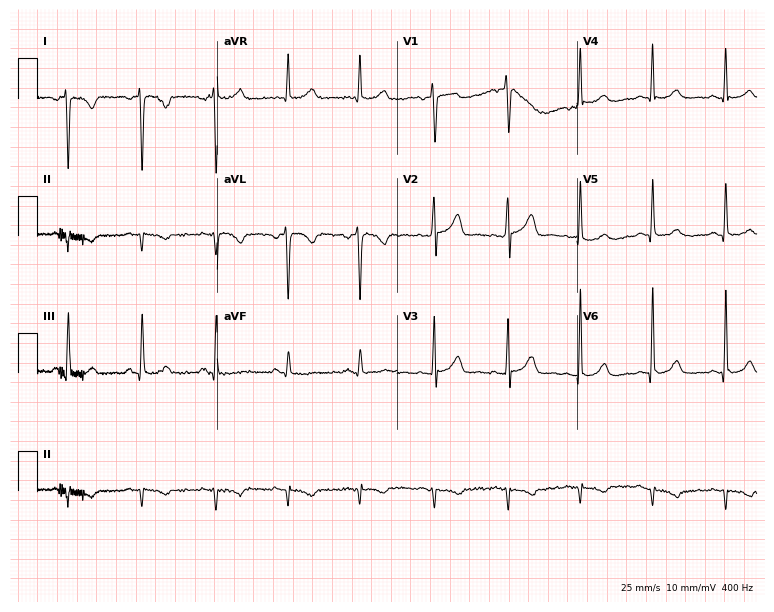
12-lead ECG from a female, 57 years old. No first-degree AV block, right bundle branch block, left bundle branch block, sinus bradycardia, atrial fibrillation or sinus tachycardia recorded for this tracing.